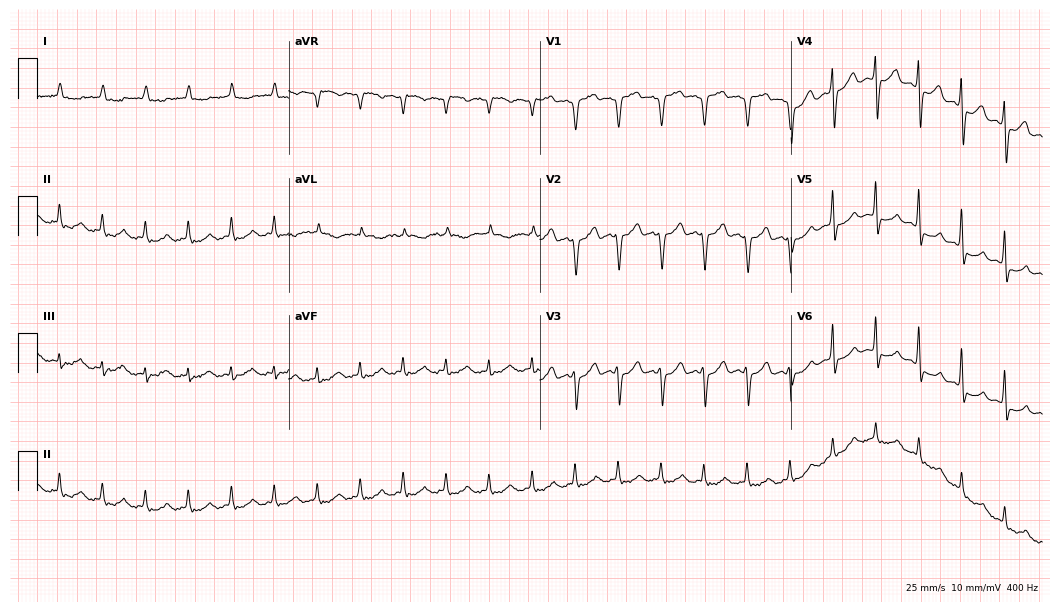
Resting 12-lead electrocardiogram. Patient: an 85-year-old woman. The tracing shows sinus tachycardia (a sinus rate of 100 beats per minute or more).